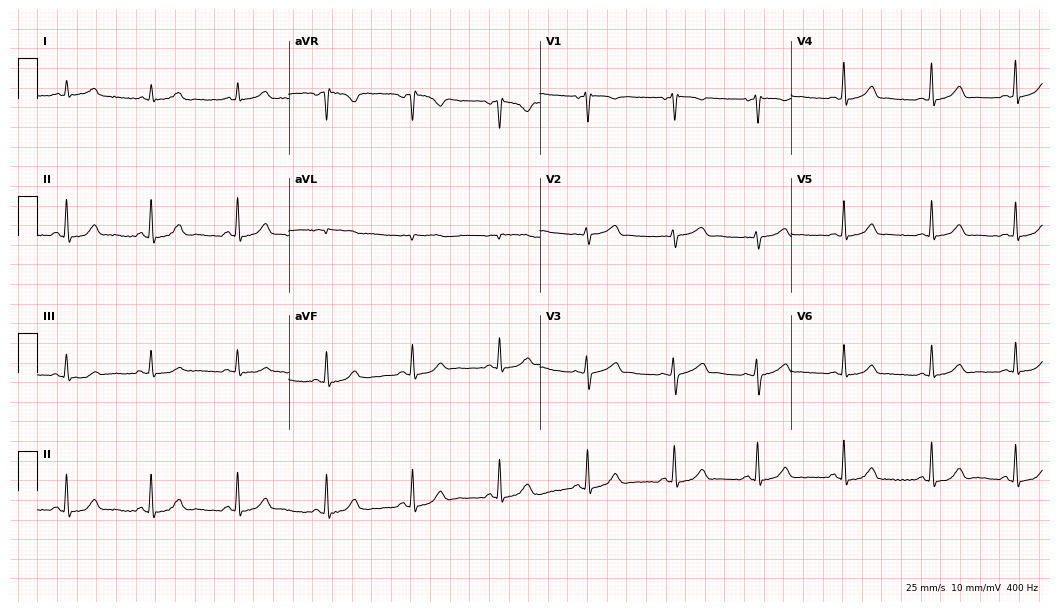
ECG — a 47-year-old female patient. Labelled as a normal ECG.